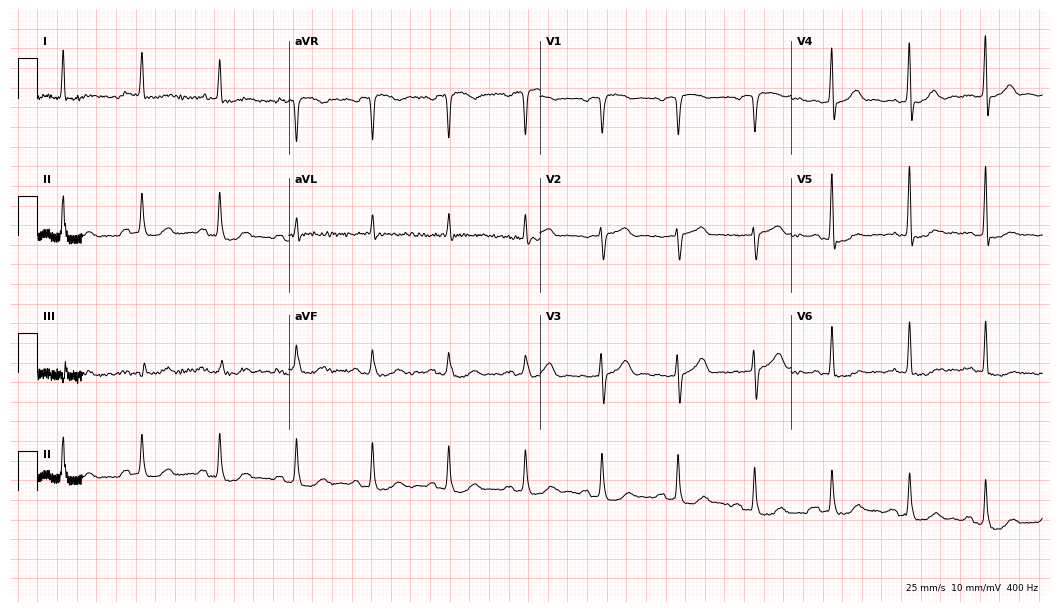
Electrocardiogram, a male, 79 years old. Of the six screened findings (first-degree AV block, right bundle branch block, left bundle branch block, sinus bradycardia, atrial fibrillation, sinus tachycardia), none is recorded.